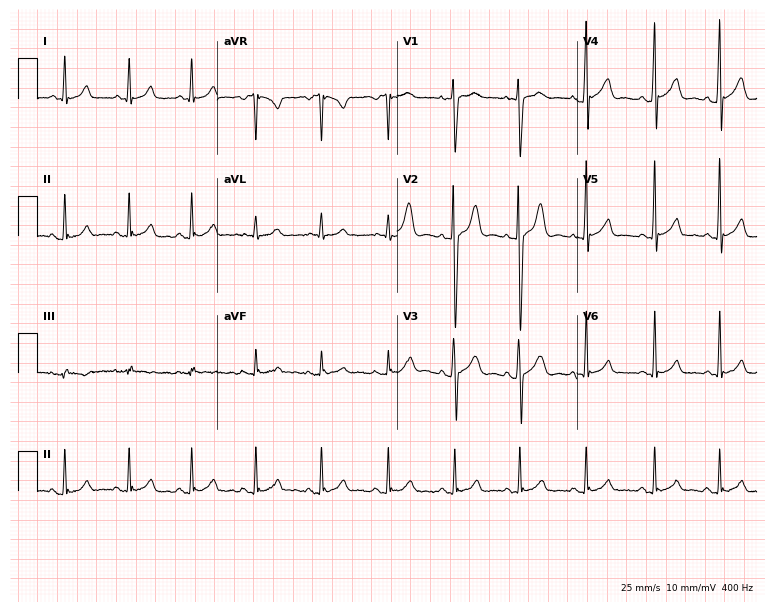
Resting 12-lead electrocardiogram (7.3-second recording at 400 Hz). Patient: an 18-year-old man. Read as a normal ECG.